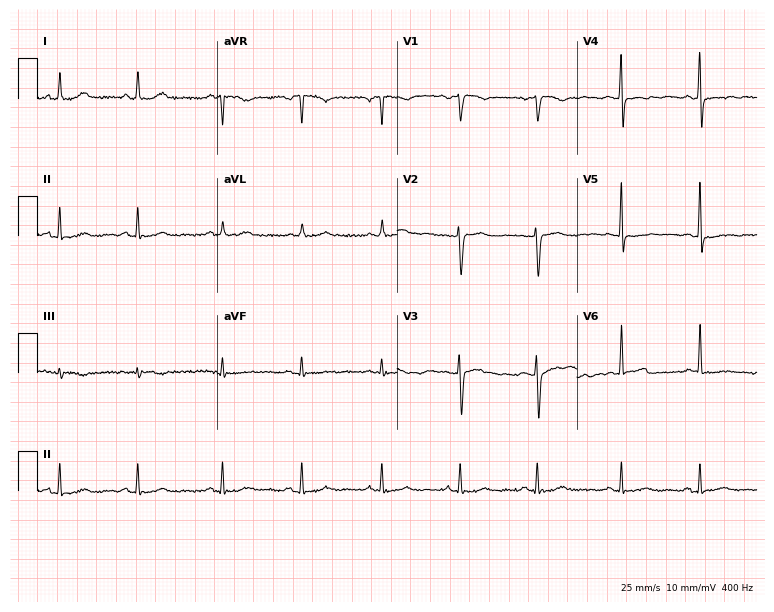
Standard 12-lead ECG recorded from a female, 37 years old (7.3-second recording at 400 Hz). None of these six findings is recorded: first-degree AV block, right bundle branch block (RBBB), left bundle branch block (LBBB), sinus bradycardia, atrial fibrillation (AF), sinus tachycardia.